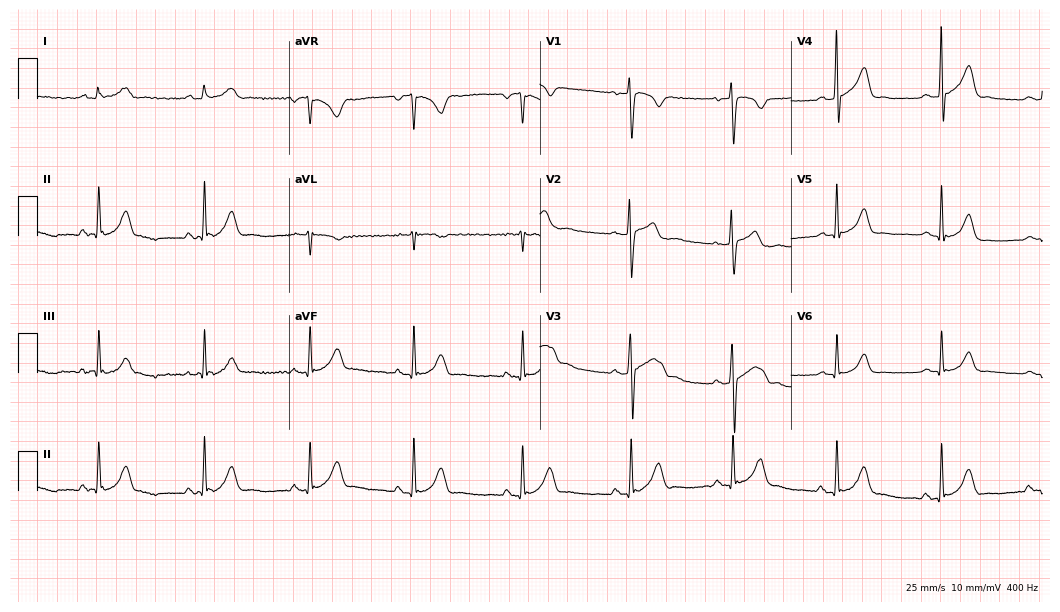
Standard 12-lead ECG recorded from a male patient, 28 years old. None of these six findings is recorded: first-degree AV block, right bundle branch block, left bundle branch block, sinus bradycardia, atrial fibrillation, sinus tachycardia. Other findings, if any, are not listed.